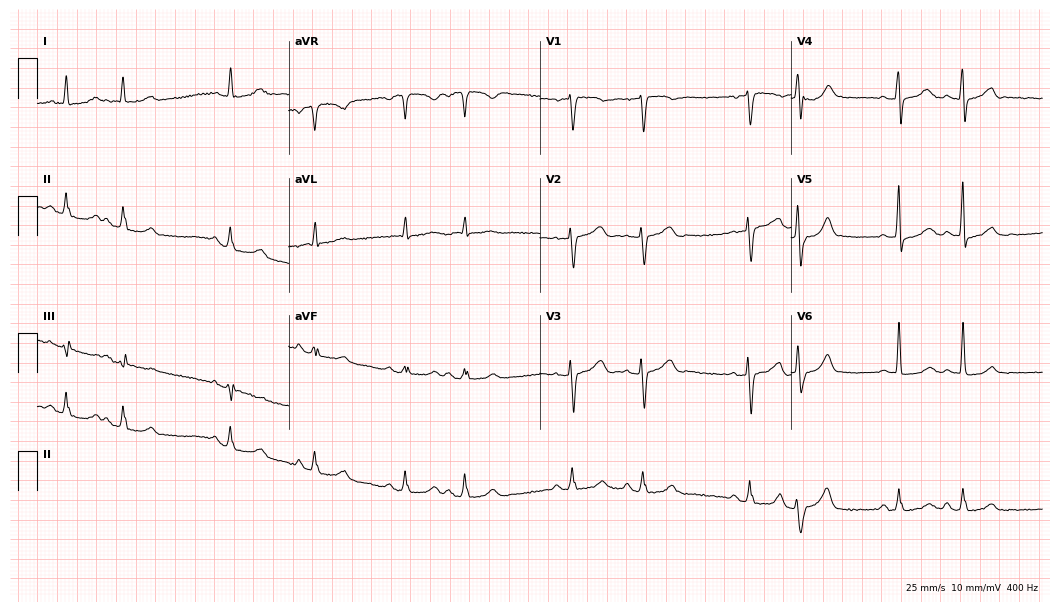
Standard 12-lead ECG recorded from a 71-year-old female patient (10.2-second recording at 400 Hz). None of these six findings is recorded: first-degree AV block, right bundle branch block (RBBB), left bundle branch block (LBBB), sinus bradycardia, atrial fibrillation (AF), sinus tachycardia. Findings outside these six are not listed.